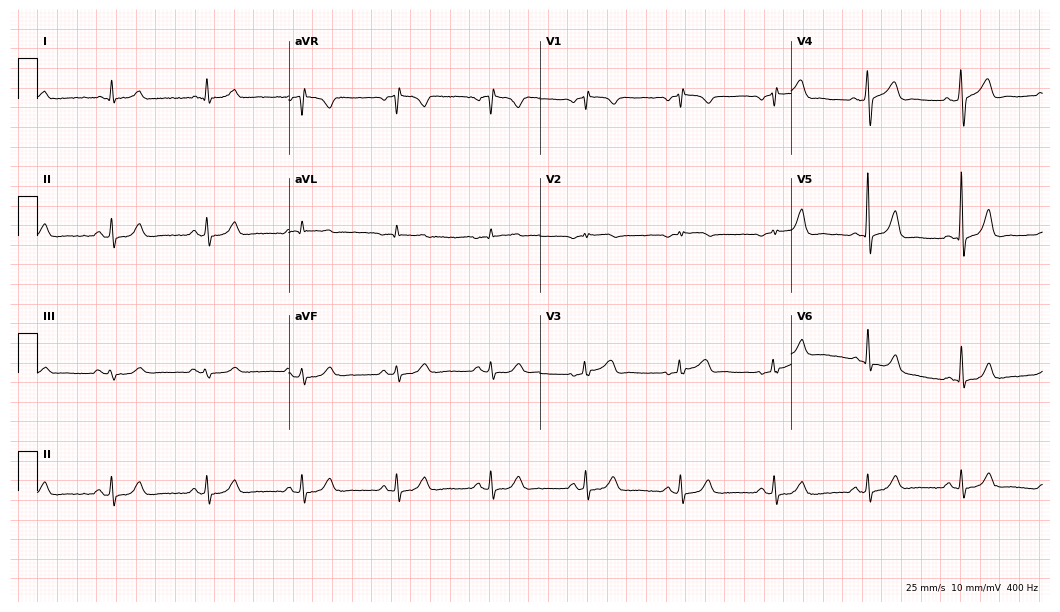
Electrocardiogram, a 64-year-old male patient. Overall reading on record: normal ECG.